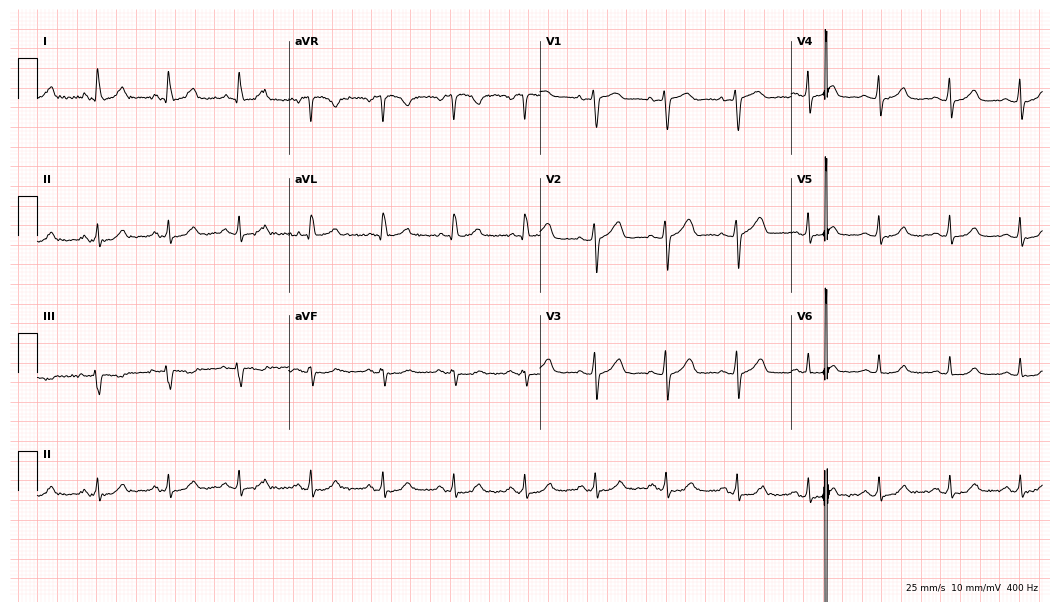
Resting 12-lead electrocardiogram. Patient: a woman, 61 years old. None of these six findings is recorded: first-degree AV block, right bundle branch block, left bundle branch block, sinus bradycardia, atrial fibrillation, sinus tachycardia. Only these six findings were labelled.